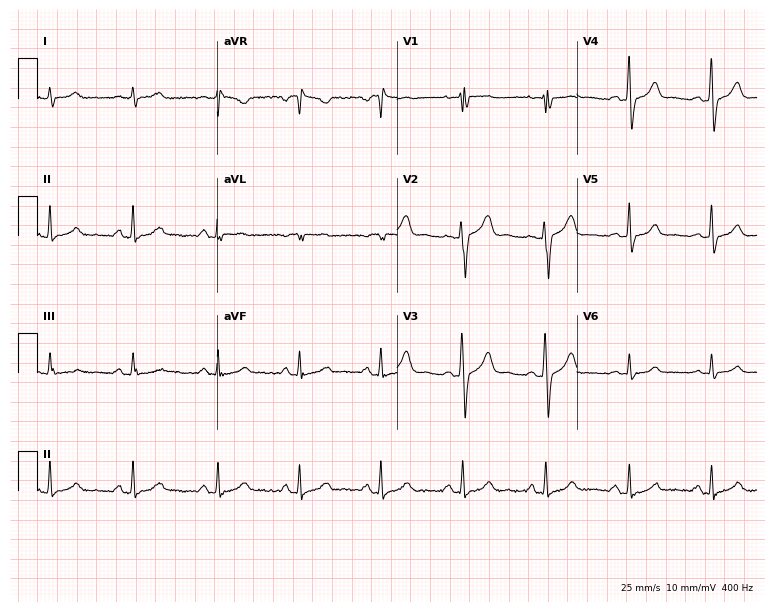
Standard 12-lead ECG recorded from a man, 48 years old (7.3-second recording at 400 Hz). None of these six findings is recorded: first-degree AV block, right bundle branch block, left bundle branch block, sinus bradycardia, atrial fibrillation, sinus tachycardia.